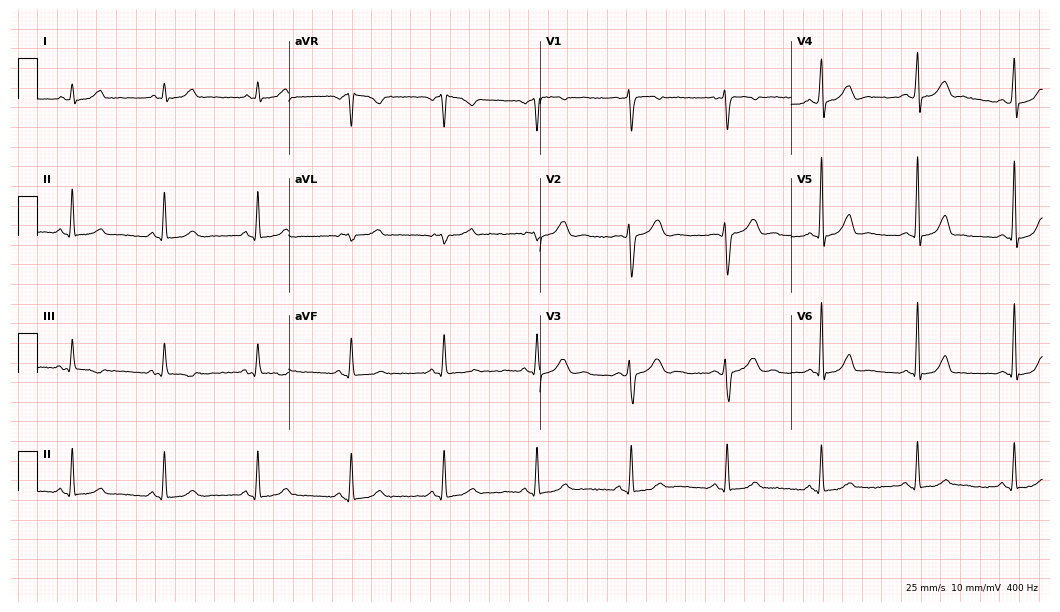
ECG (10.2-second recording at 400 Hz) — a 49-year-old woman. Labelled as a normal ECG.